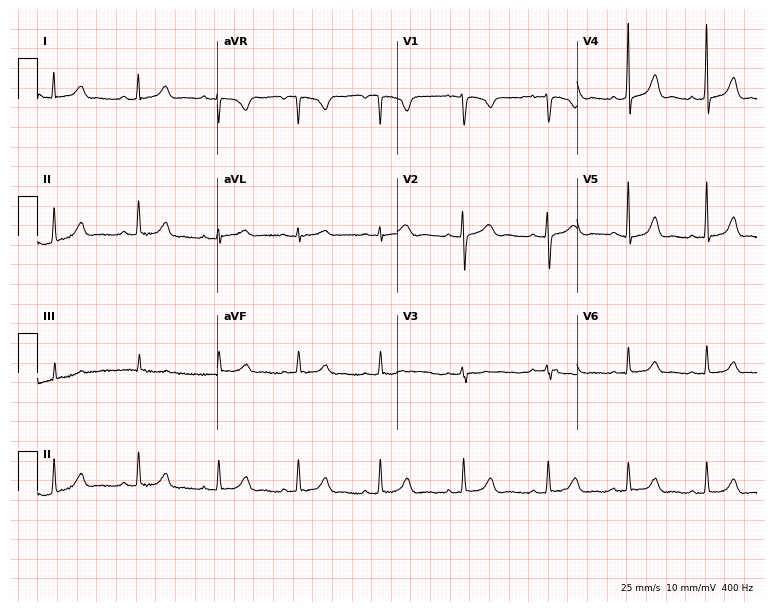
ECG — a female patient, 34 years old. Labelled as a normal ECG.